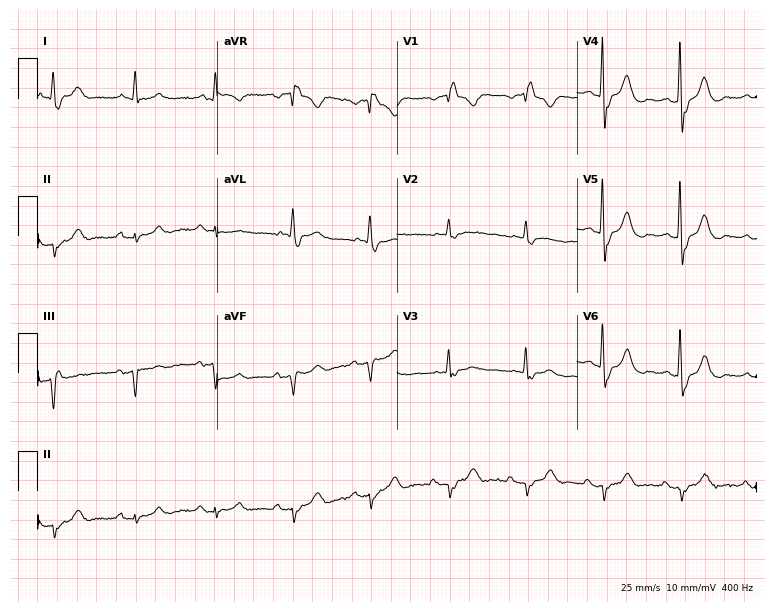
Standard 12-lead ECG recorded from a male, 71 years old. The tracing shows right bundle branch block.